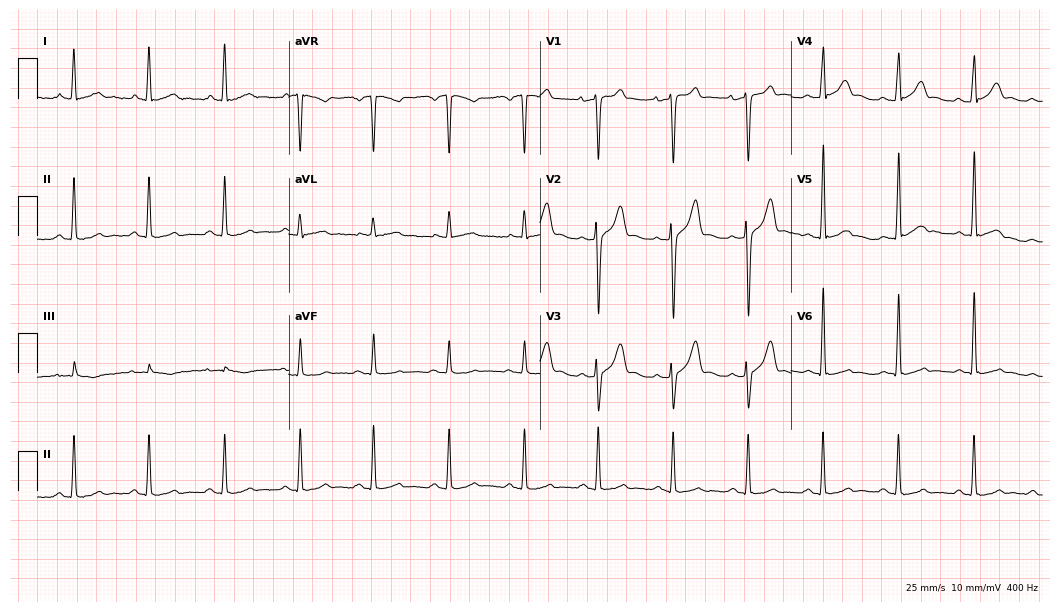
Electrocardiogram, a male patient, 46 years old. Of the six screened findings (first-degree AV block, right bundle branch block, left bundle branch block, sinus bradycardia, atrial fibrillation, sinus tachycardia), none is recorded.